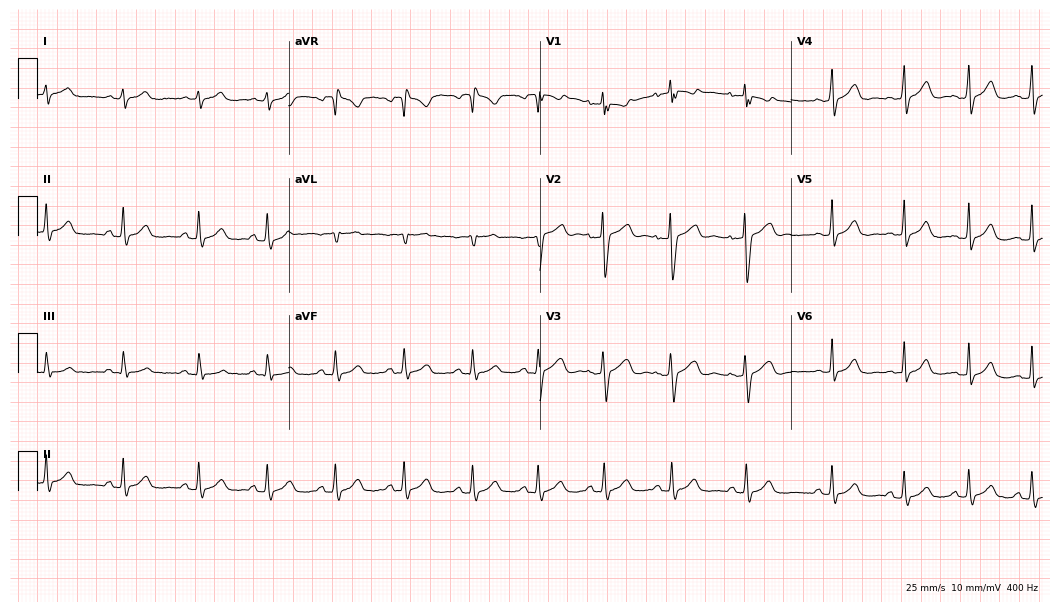
12-lead ECG from a 25-year-old female. Labelled as a normal ECG.